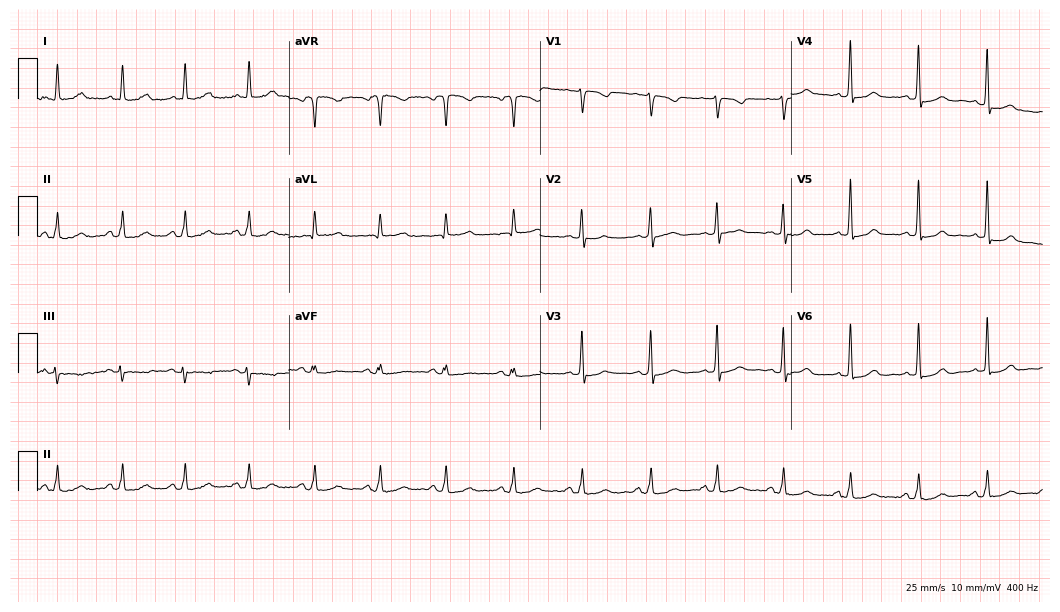
Resting 12-lead electrocardiogram. Patient: a female, 57 years old. None of these six findings is recorded: first-degree AV block, right bundle branch block, left bundle branch block, sinus bradycardia, atrial fibrillation, sinus tachycardia.